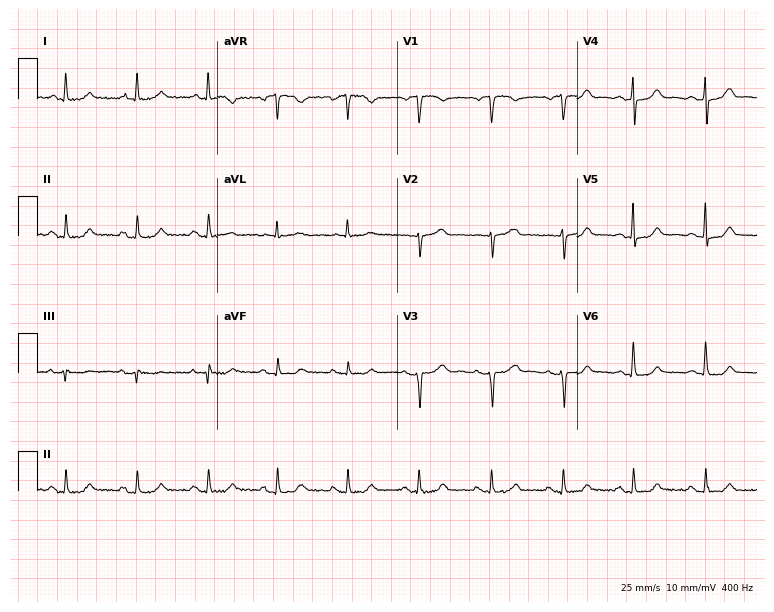
12-lead ECG from a female, 70 years old. Screened for six findings — first-degree AV block, right bundle branch block, left bundle branch block, sinus bradycardia, atrial fibrillation, sinus tachycardia — none is recorded.